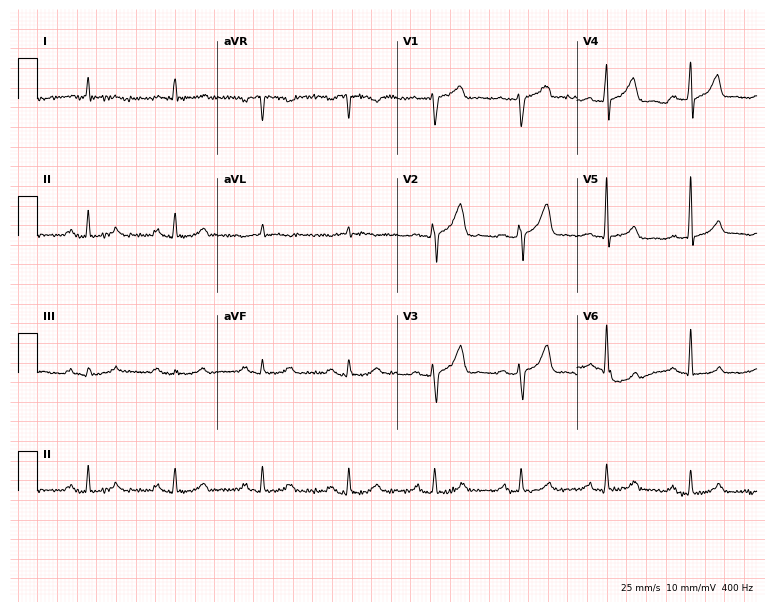
Resting 12-lead electrocardiogram. Patient: a 74-year-old male. Read as a normal ECG.